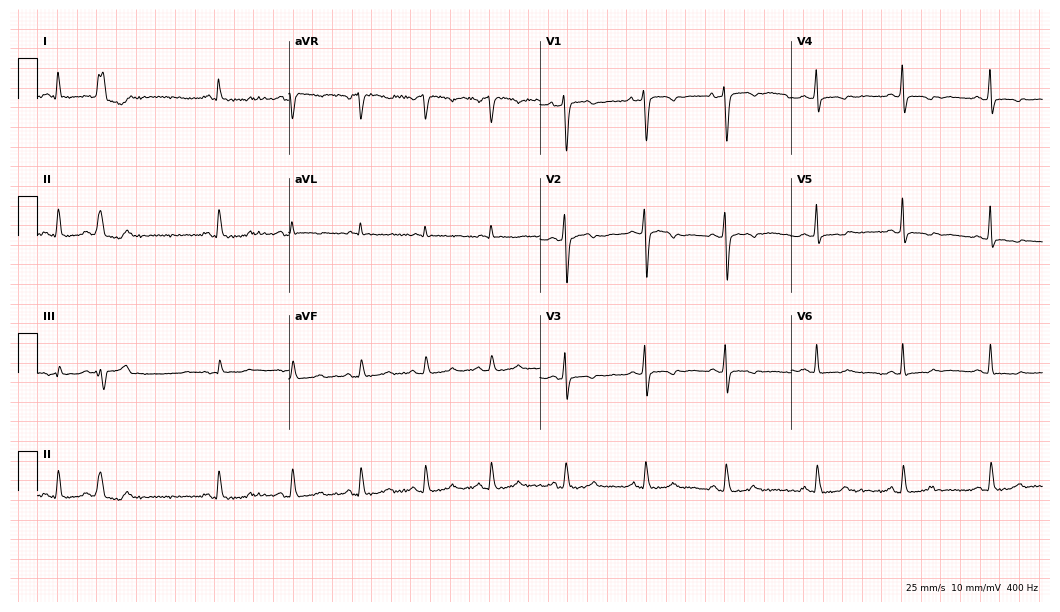
12-lead ECG from a 36-year-old female patient (10.2-second recording at 400 Hz). No first-degree AV block, right bundle branch block, left bundle branch block, sinus bradycardia, atrial fibrillation or sinus tachycardia recorded for this tracing. Only these six findings were labelled.